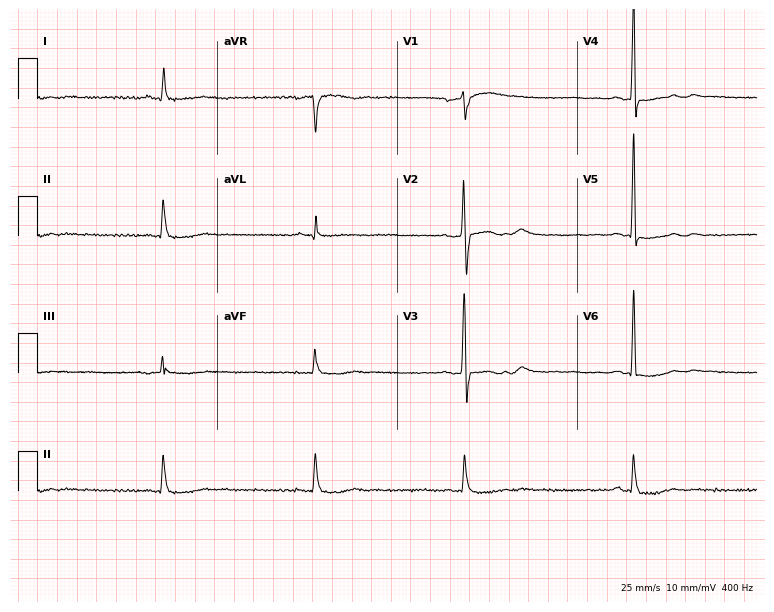
Electrocardiogram, a 77-year-old female. Interpretation includes sinus bradycardia (a sinus rate of 50 beats per minute or less).